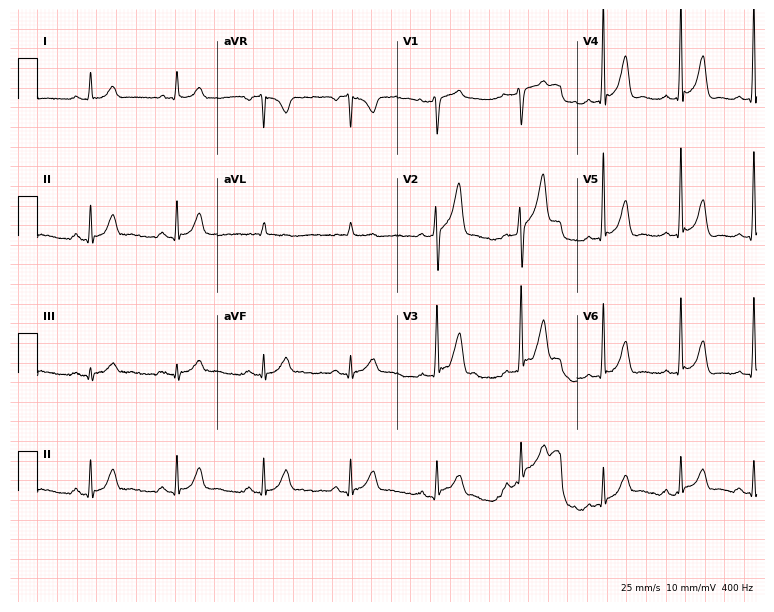
Standard 12-lead ECG recorded from a male, 68 years old (7.3-second recording at 400 Hz). None of these six findings is recorded: first-degree AV block, right bundle branch block, left bundle branch block, sinus bradycardia, atrial fibrillation, sinus tachycardia. Findings outside these six are not listed.